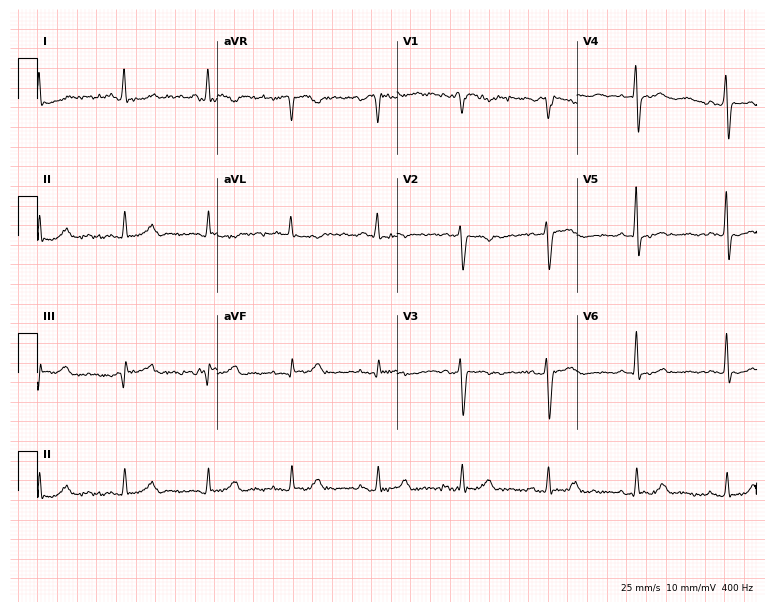
12-lead ECG (7.3-second recording at 400 Hz) from a female, 70 years old. Screened for six findings — first-degree AV block, right bundle branch block, left bundle branch block, sinus bradycardia, atrial fibrillation, sinus tachycardia — none is recorded.